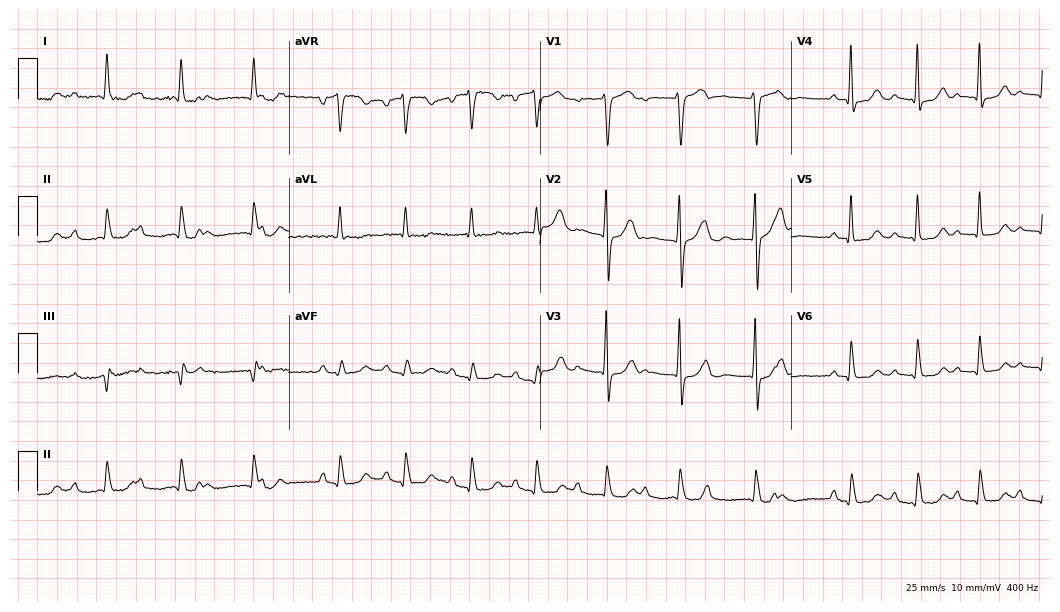
Electrocardiogram (10.2-second recording at 400 Hz), a female patient, 65 years old. Of the six screened findings (first-degree AV block, right bundle branch block, left bundle branch block, sinus bradycardia, atrial fibrillation, sinus tachycardia), none is recorded.